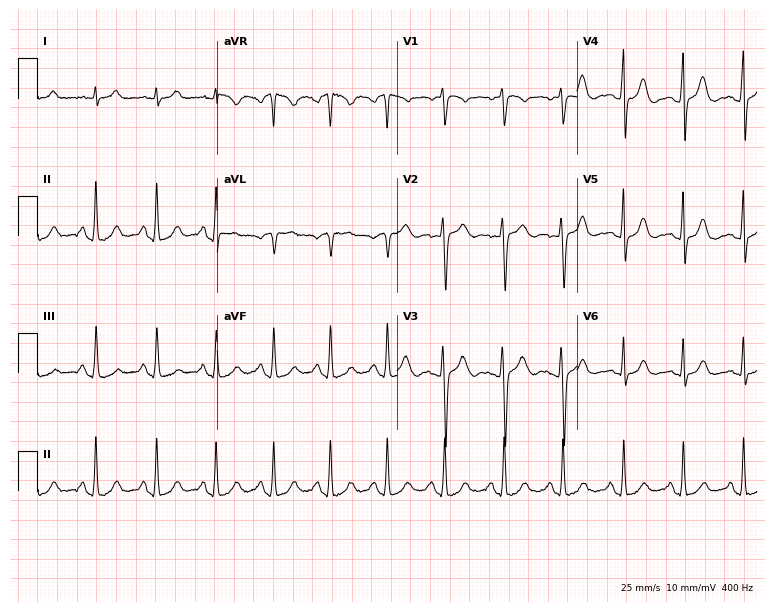
ECG (7.3-second recording at 400 Hz) — an 18-year-old male. Labelled as a normal ECG.